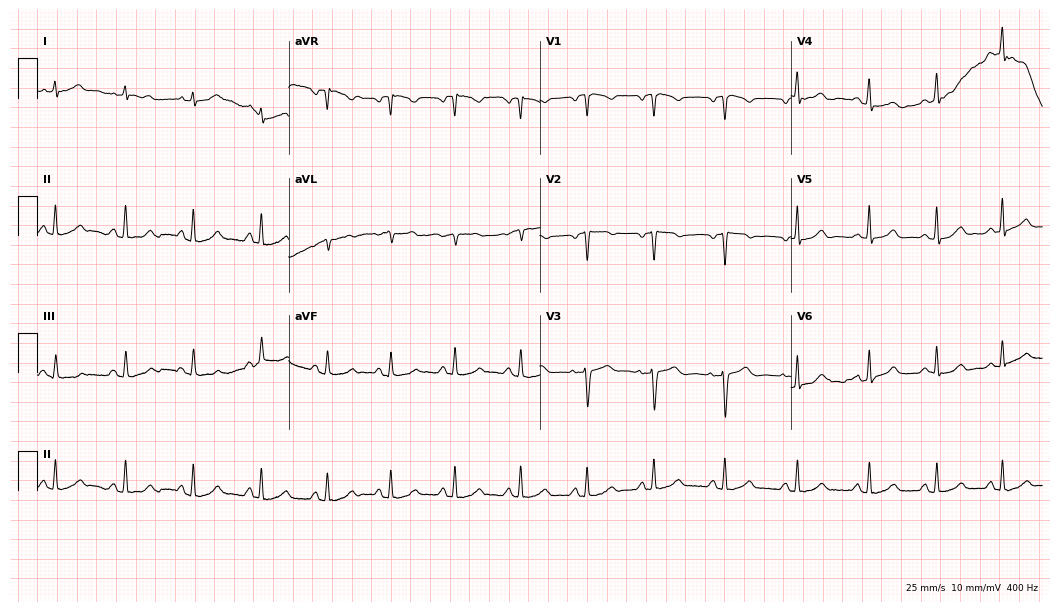
12-lead ECG (10.2-second recording at 400 Hz) from a 30-year-old woman. Labelled as a normal ECG.